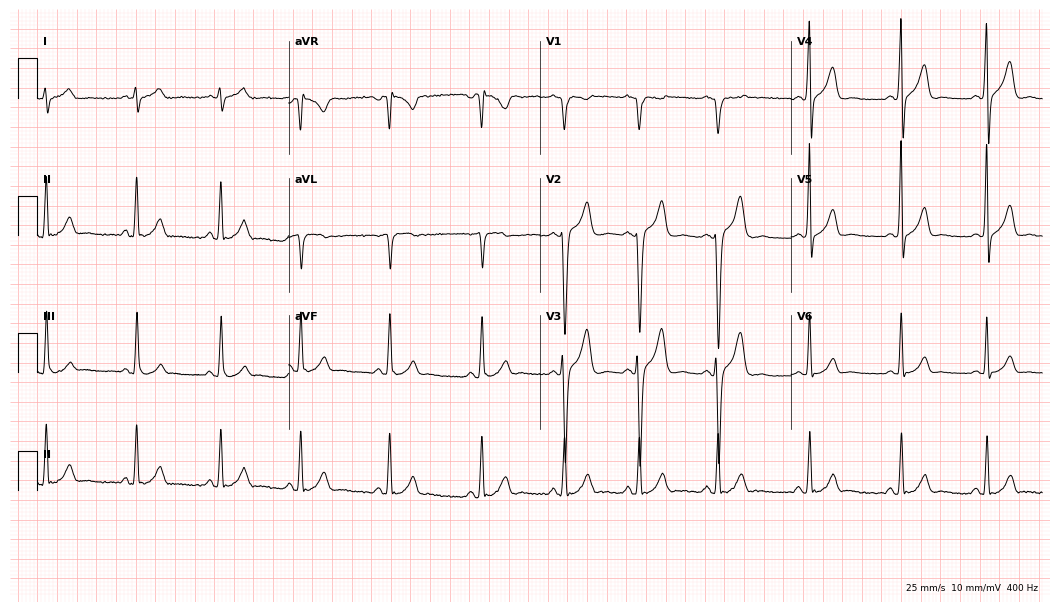
12-lead ECG from a 21-year-old male patient. No first-degree AV block, right bundle branch block, left bundle branch block, sinus bradycardia, atrial fibrillation or sinus tachycardia recorded for this tracing. Findings outside these six are not listed.